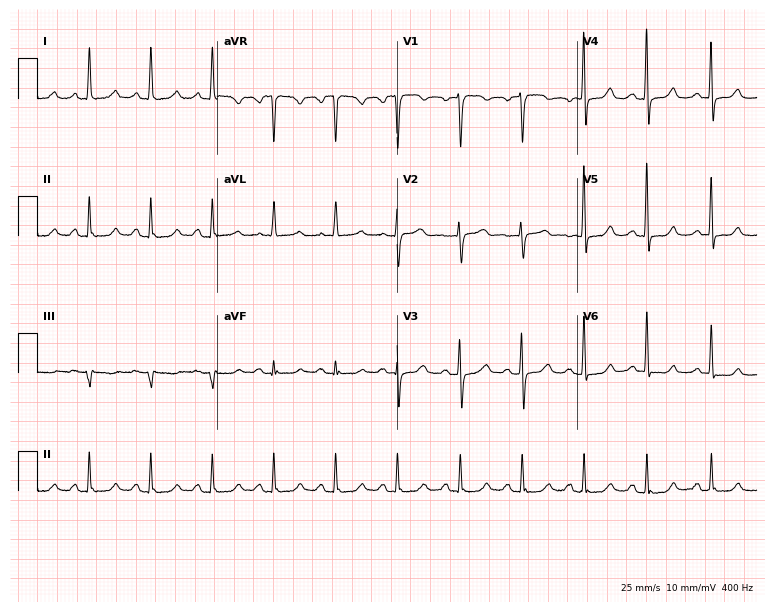
Resting 12-lead electrocardiogram. Patient: a 55-year-old female. None of these six findings is recorded: first-degree AV block, right bundle branch block, left bundle branch block, sinus bradycardia, atrial fibrillation, sinus tachycardia.